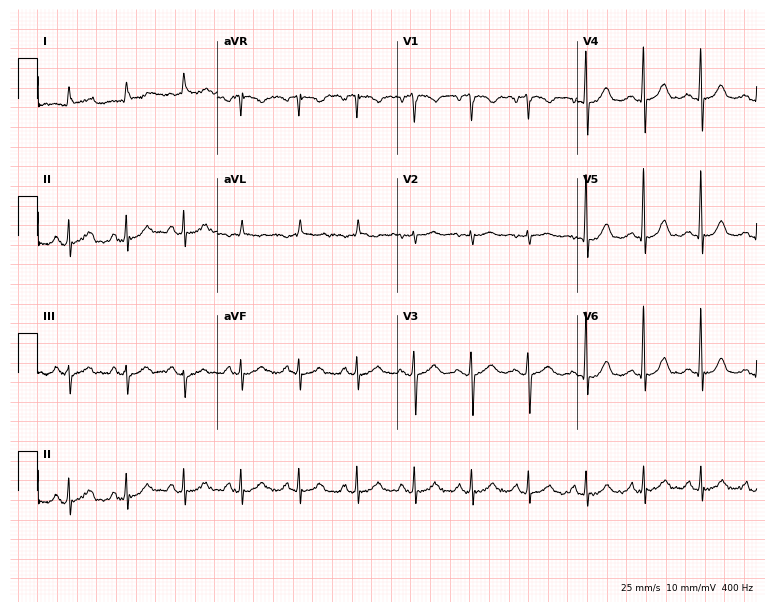
ECG (7.3-second recording at 400 Hz) — a female, 59 years old. Screened for six findings — first-degree AV block, right bundle branch block, left bundle branch block, sinus bradycardia, atrial fibrillation, sinus tachycardia — none is recorded.